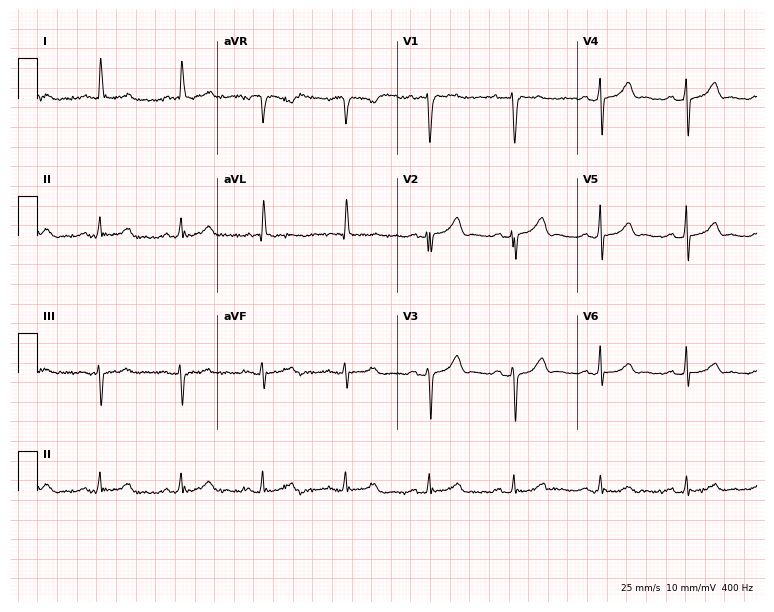
Standard 12-lead ECG recorded from a female patient, 74 years old (7.3-second recording at 400 Hz). Read as a normal ECG.